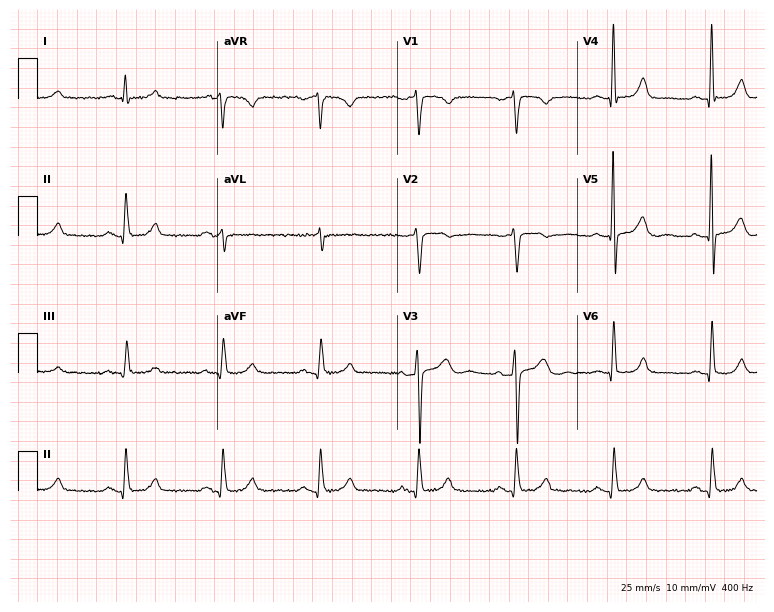
12-lead ECG from a 59-year-old man. Screened for six findings — first-degree AV block, right bundle branch block, left bundle branch block, sinus bradycardia, atrial fibrillation, sinus tachycardia — none is recorded. Findings outside these six are not listed.